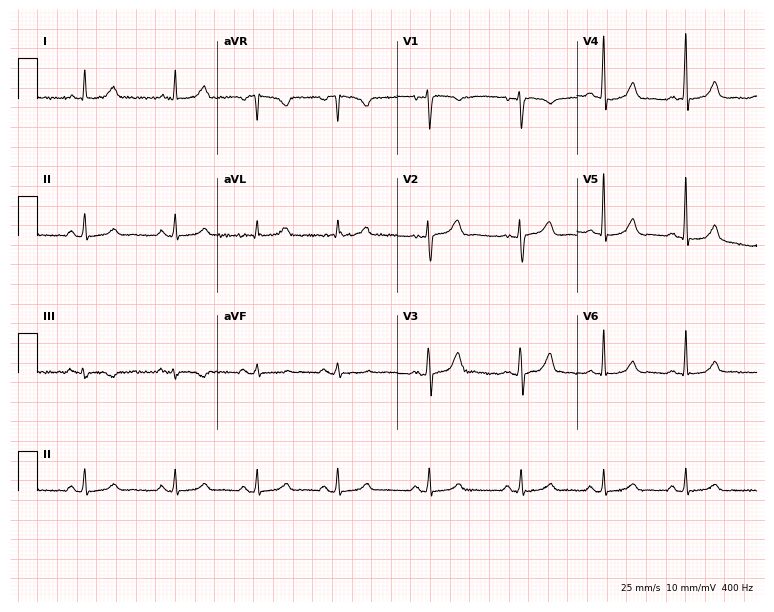
12-lead ECG from a 44-year-old woman. Recorded interpretation: within normal limits.